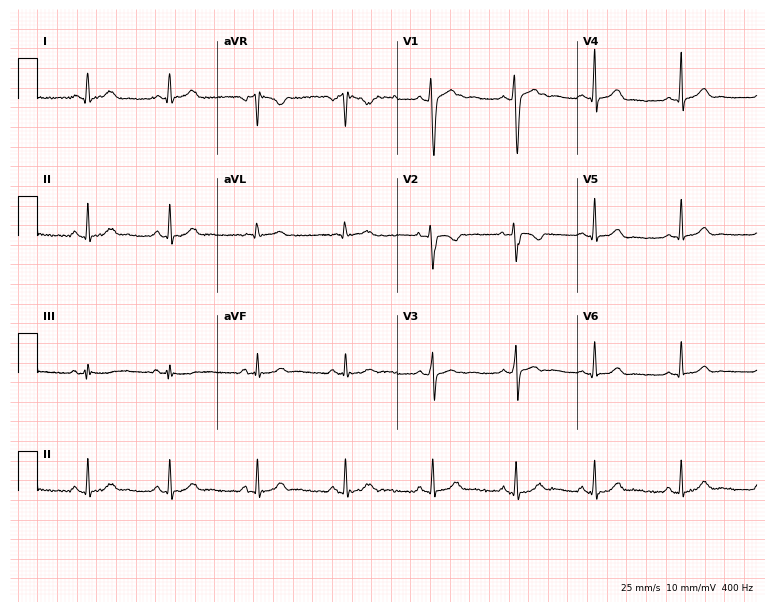
12-lead ECG from a female patient, 21 years old. Labelled as a normal ECG.